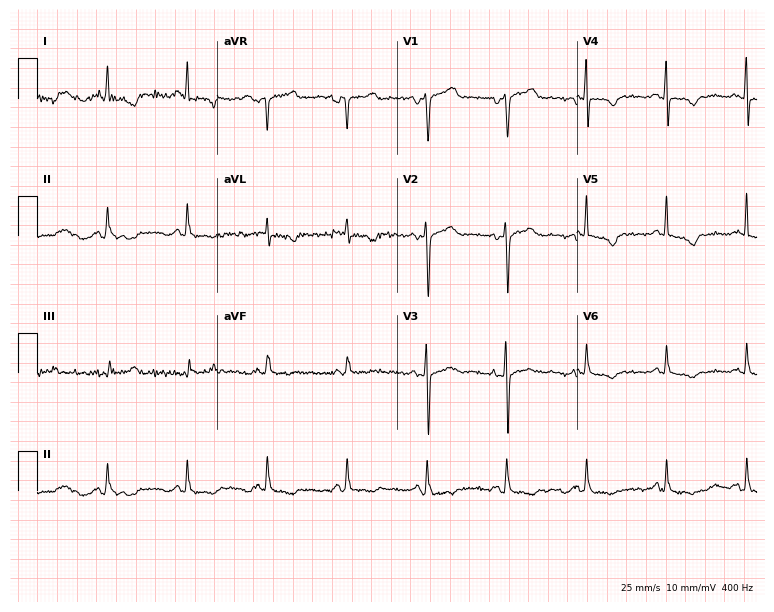
Electrocardiogram, a woman, 65 years old. Of the six screened findings (first-degree AV block, right bundle branch block (RBBB), left bundle branch block (LBBB), sinus bradycardia, atrial fibrillation (AF), sinus tachycardia), none is recorded.